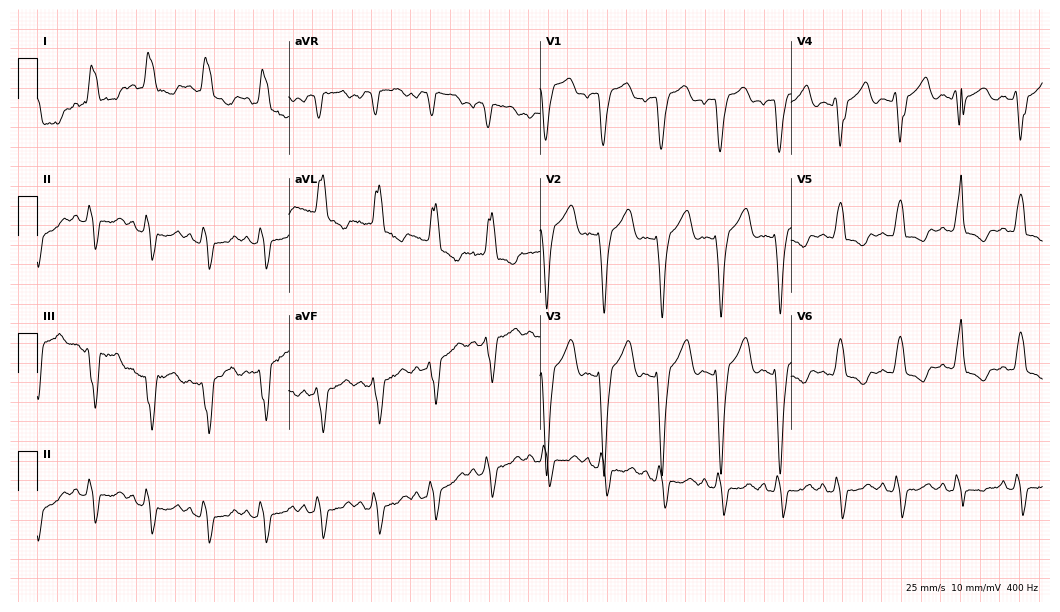
12-lead ECG from a 66-year-old female patient. Shows left bundle branch block (LBBB).